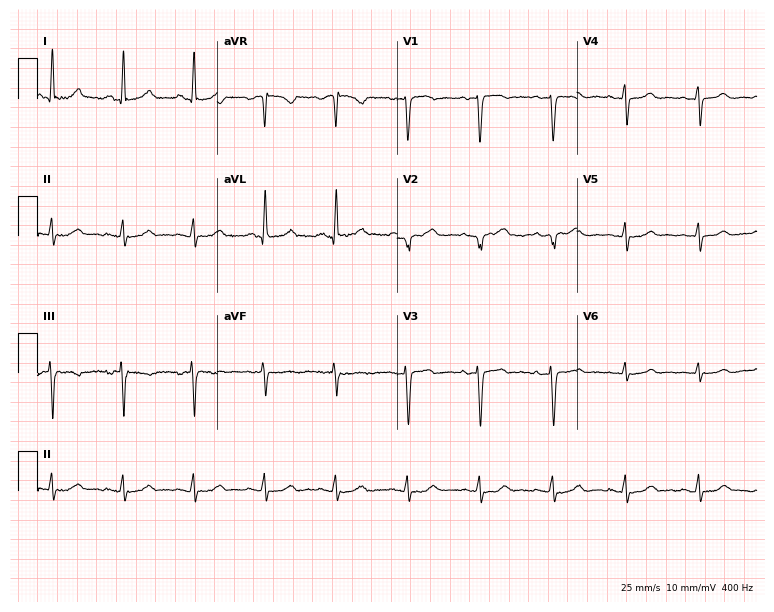
Resting 12-lead electrocardiogram. Patient: a 74-year-old female. None of these six findings is recorded: first-degree AV block, right bundle branch block, left bundle branch block, sinus bradycardia, atrial fibrillation, sinus tachycardia.